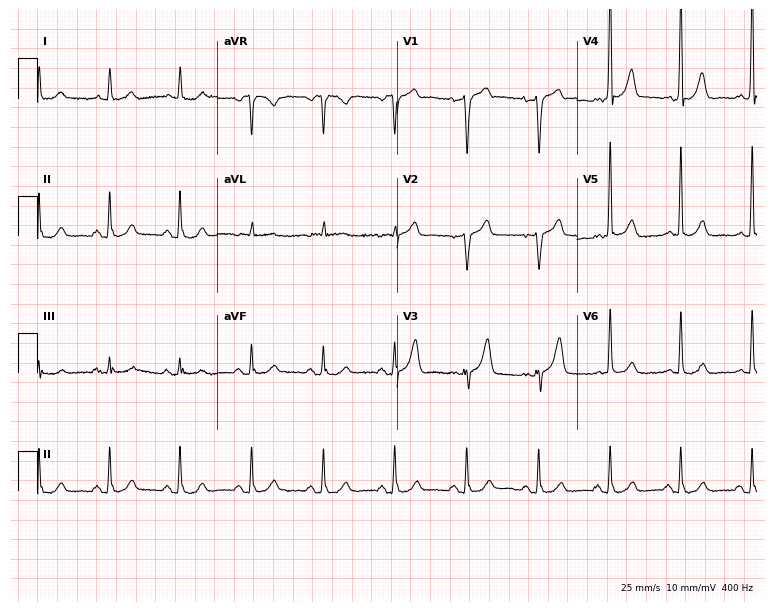
ECG (7.3-second recording at 400 Hz) — a 76-year-old male patient. Labelled as a normal ECG.